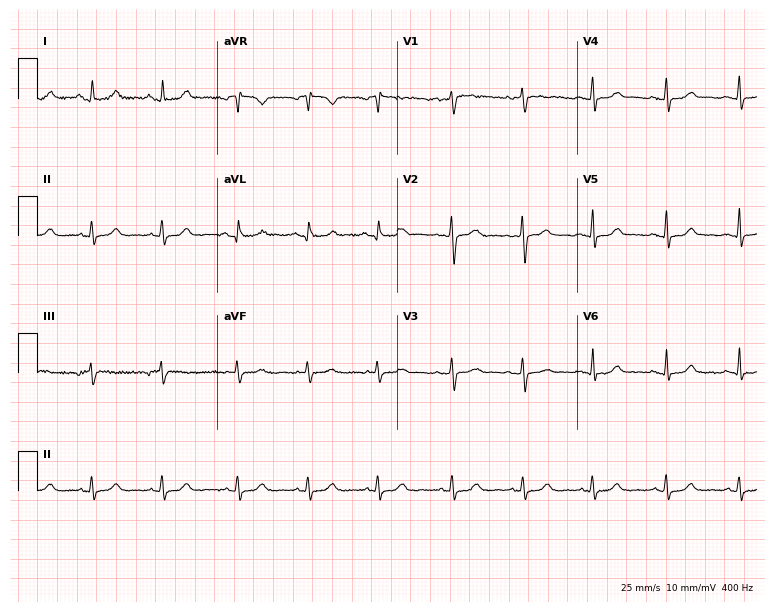
12-lead ECG from a 39-year-old female (7.3-second recording at 400 Hz). Recorded interpretation: within normal limits.